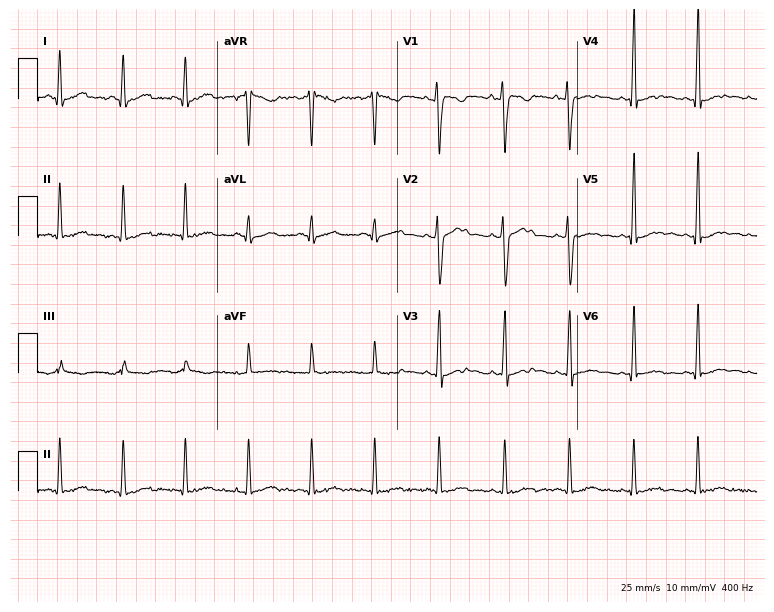
Resting 12-lead electrocardiogram (7.3-second recording at 400 Hz). Patient: a woman, 25 years old. None of these six findings is recorded: first-degree AV block, right bundle branch block (RBBB), left bundle branch block (LBBB), sinus bradycardia, atrial fibrillation (AF), sinus tachycardia.